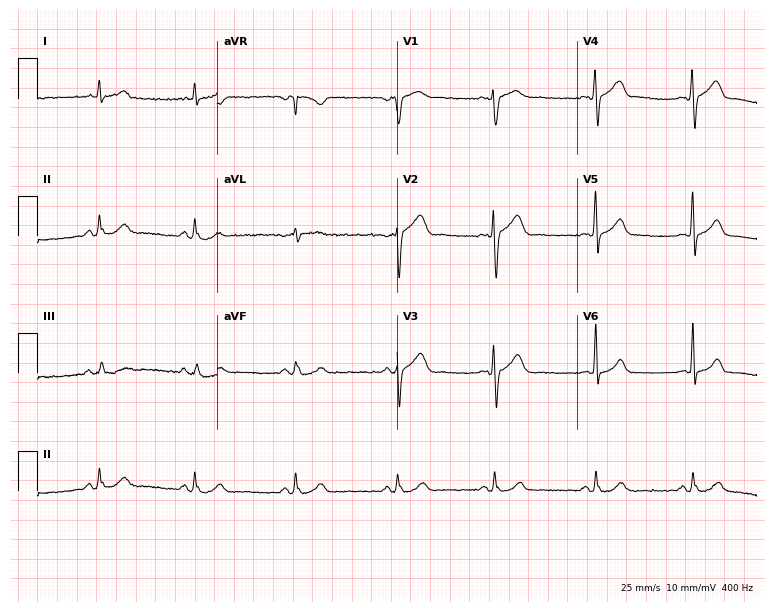
Electrocardiogram, a 37-year-old male patient. Overall reading on record: normal ECG.